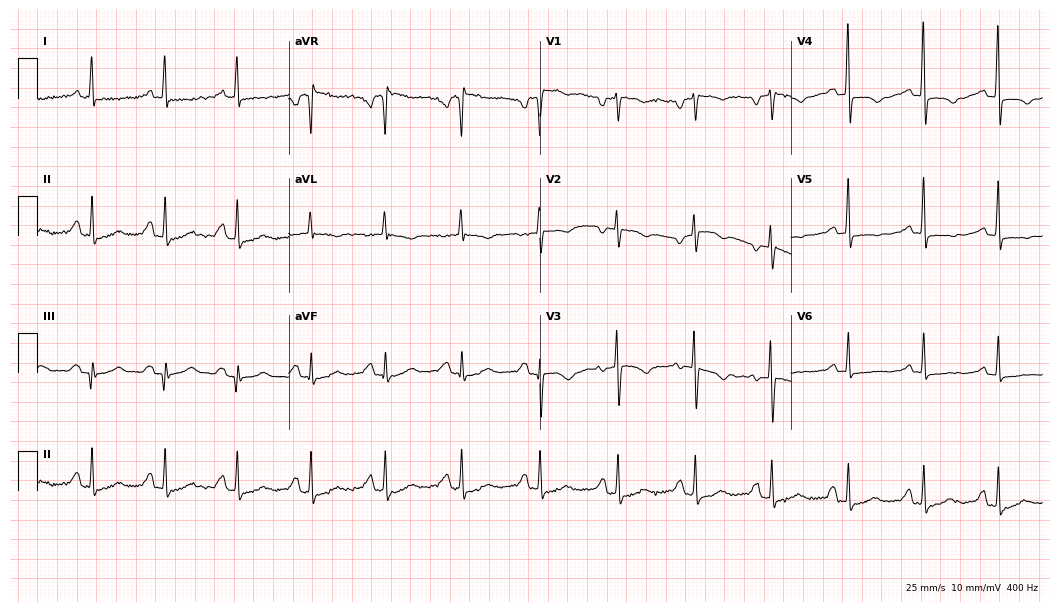
Standard 12-lead ECG recorded from a woman, 41 years old (10.2-second recording at 400 Hz). None of these six findings is recorded: first-degree AV block, right bundle branch block, left bundle branch block, sinus bradycardia, atrial fibrillation, sinus tachycardia. Only these six findings were labelled.